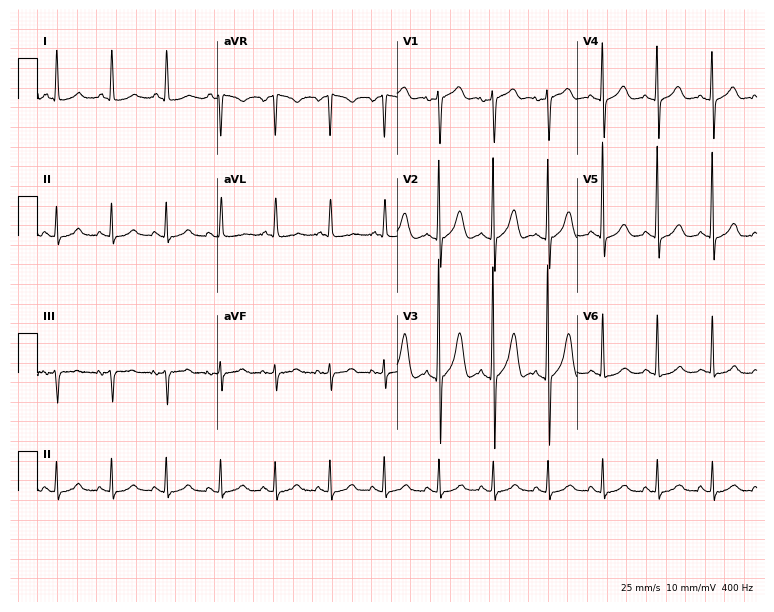
Electrocardiogram (7.3-second recording at 400 Hz), a female, 87 years old. Interpretation includes sinus tachycardia (a sinus rate of 100 beats per minute or more).